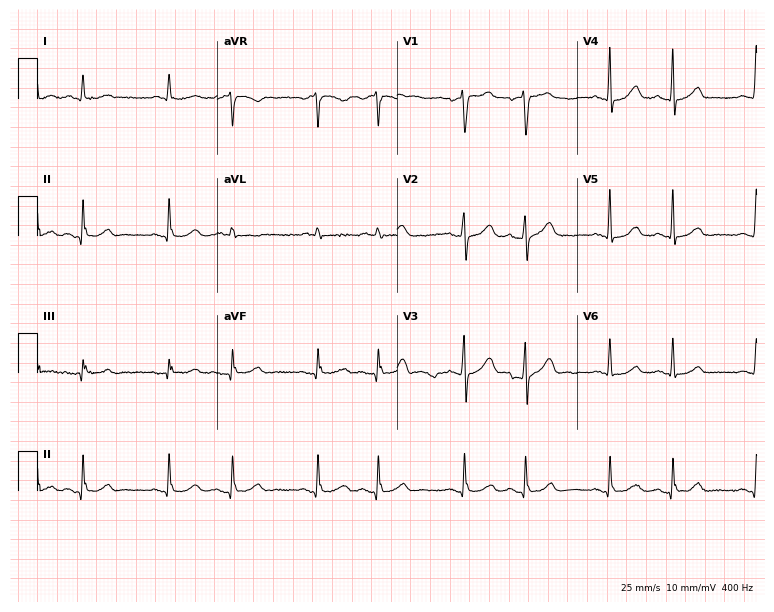
ECG (7.3-second recording at 400 Hz) — a man, 66 years old. Screened for six findings — first-degree AV block, right bundle branch block, left bundle branch block, sinus bradycardia, atrial fibrillation, sinus tachycardia — none is recorded.